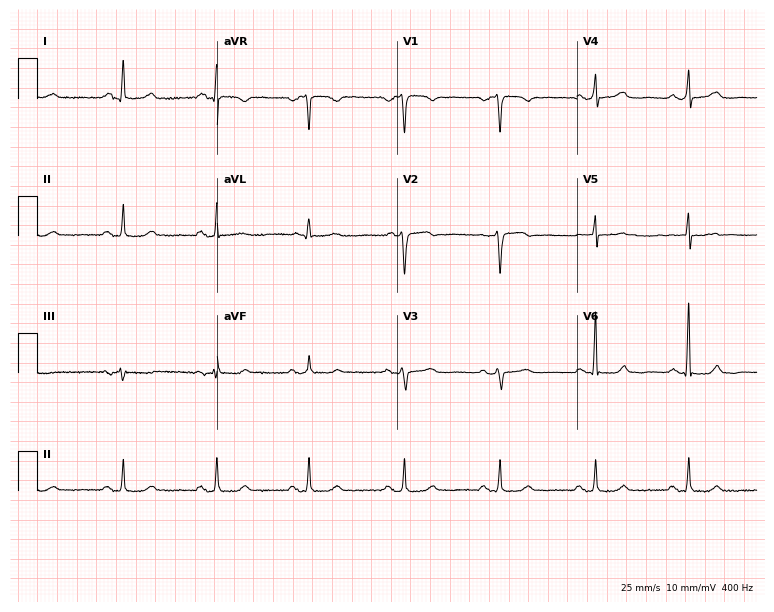
Resting 12-lead electrocardiogram. Patient: a 71-year-old woman. None of these six findings is recorded: first-degree AV block, right bundle branch block (RBBB), left bundle branch block (LBBB), sinus bradycardia, atrial fibrillation (AF), sinus tachycardia. Only these six findings were labelled.